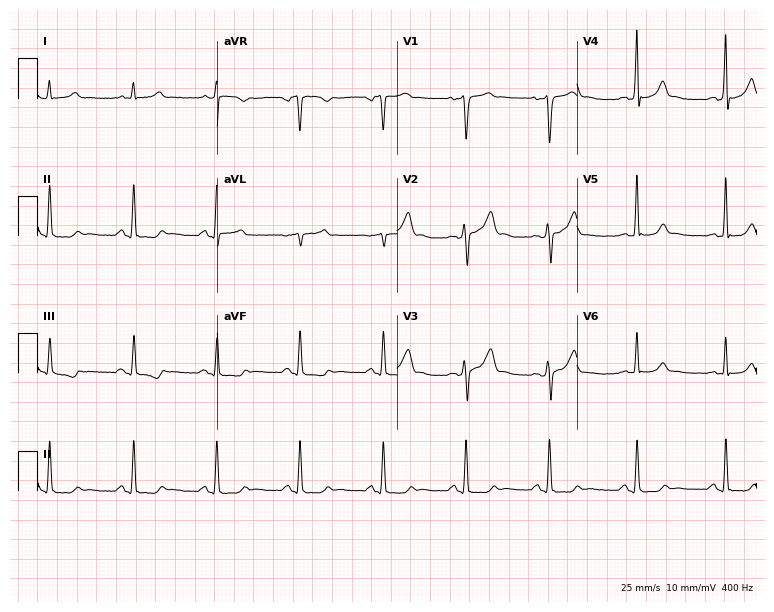
12-lead ECG from a male, 34 years old. Screened for six findings — first-degree AV block, right bundle branch block, left bundle branch block, sinus bradycardia, atrial fibrillation, sinus tachycardia — none is recorded. Other findings, if any, are not listed.